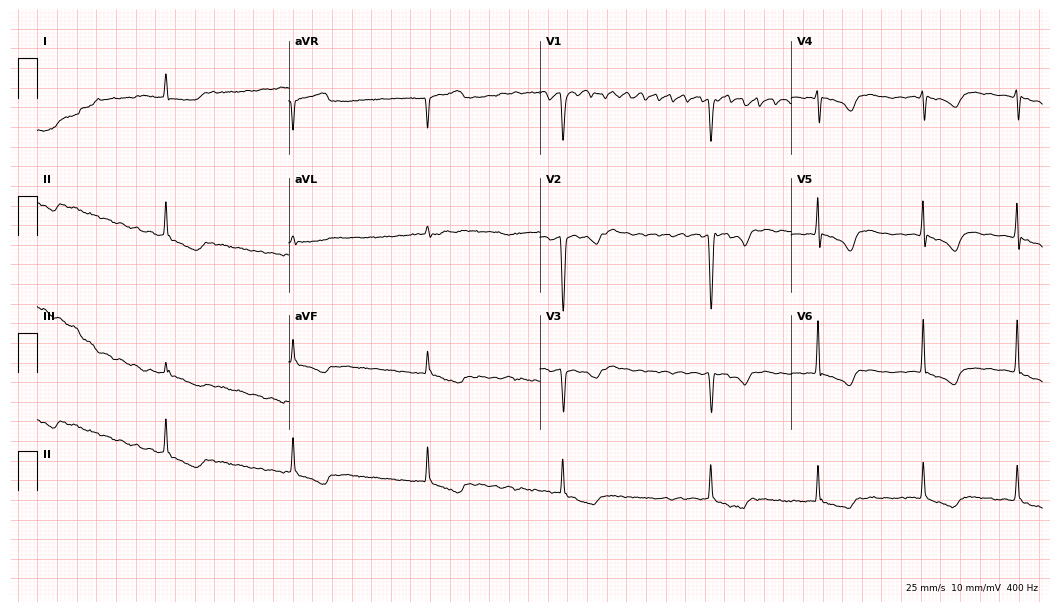
12-lead ECG from a 79-year-old woman. Shows atrial fibrillation (AF).